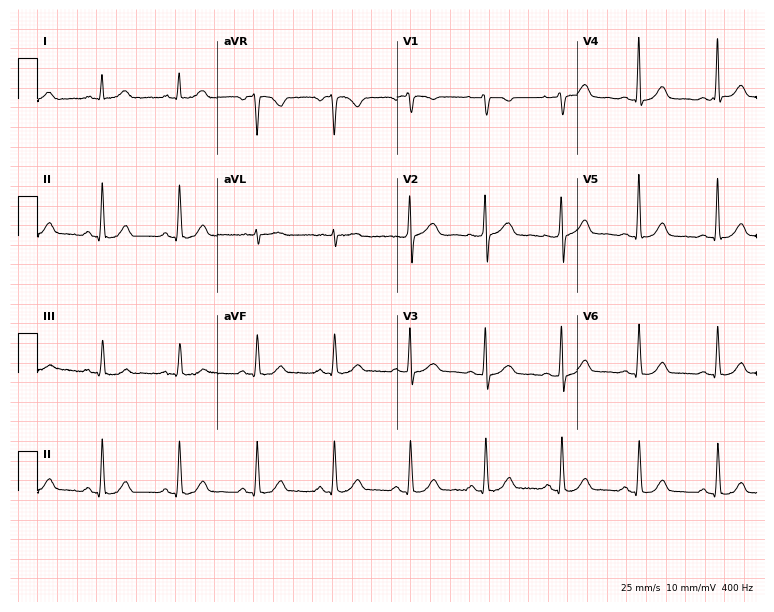
Electrocardiogram, a female patient, 56 years old. Overall reading on record: normal ECG.